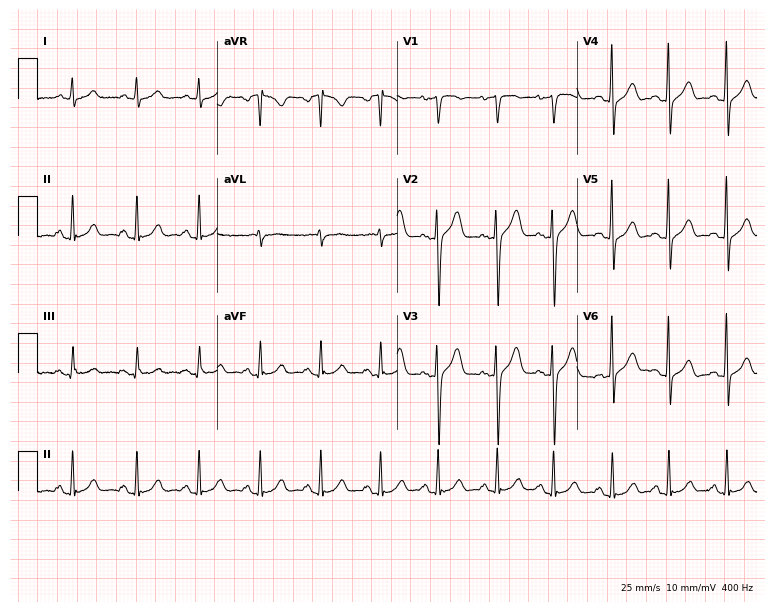
ECG — a man, 55 years old. Labelled as a normal ECG.